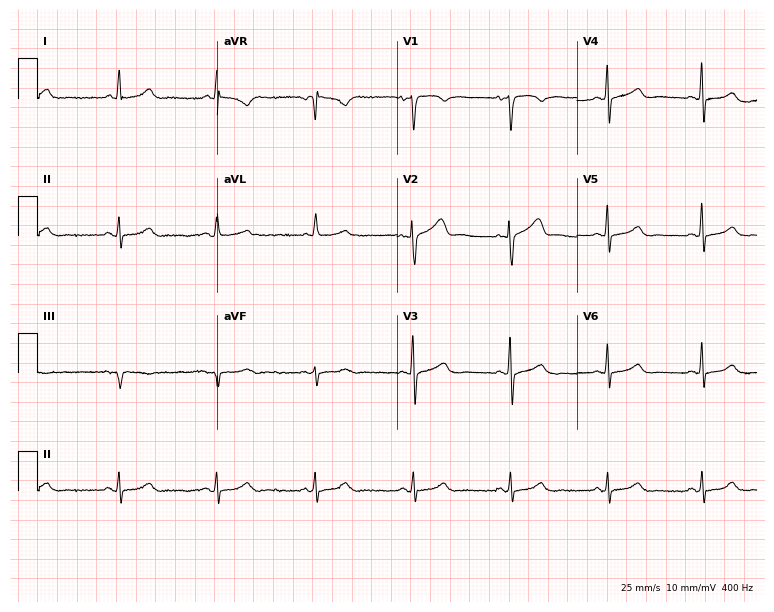
ECG (7.3-second recording at 400 Hz) — a woman, 38 years old. Labelled as a normal ECG.